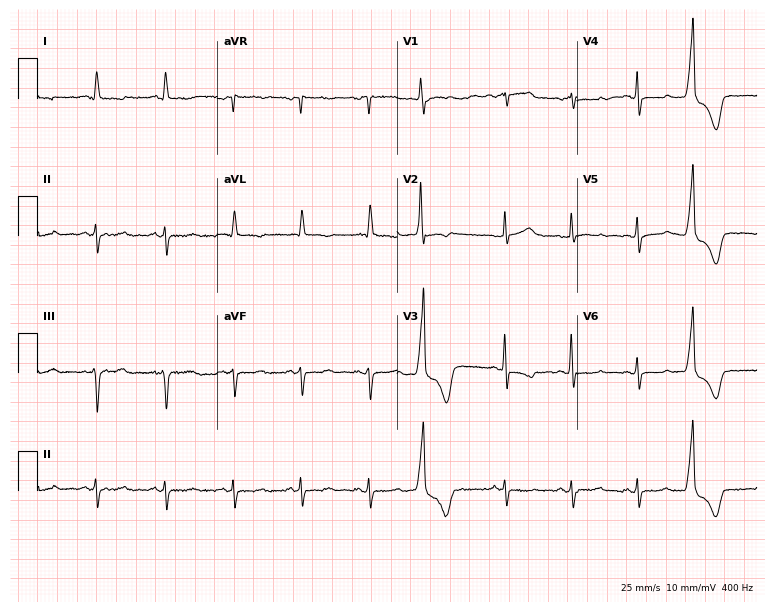
12-lead ECG (7.3-second recording at 400 Hz) from a woman, 79 years old. Screened for six findings — first-degree AV block, right bundle branch block, left bundle branch block, sinus bradycardia, atrial fibrillation, sinus tachycardia — none is recorded. Only these six findings were labelled.